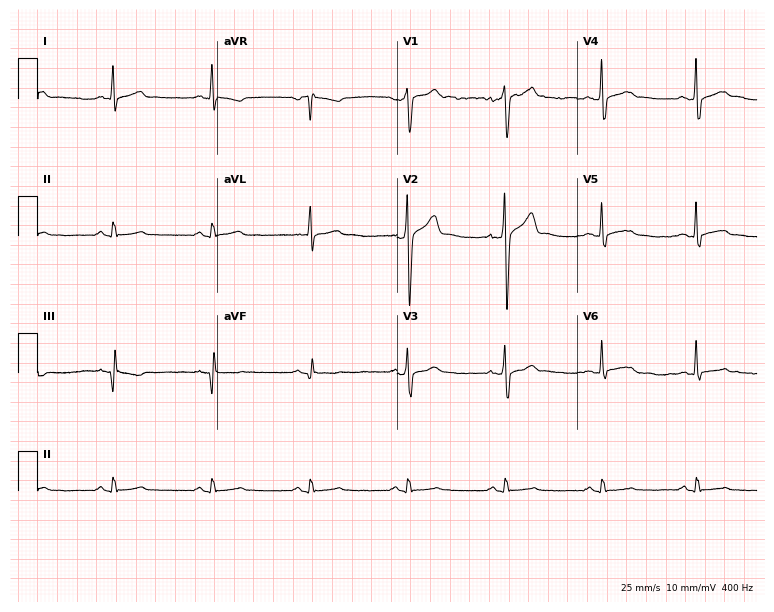
Standard 12-lead ECG recorded from a 41-year-old male. None of these six findings is recorded: first-degree AV block, right bundle branch block, left bundle branch block, sinus bradycardia, atrial fibrillation, sinus tachycardia.